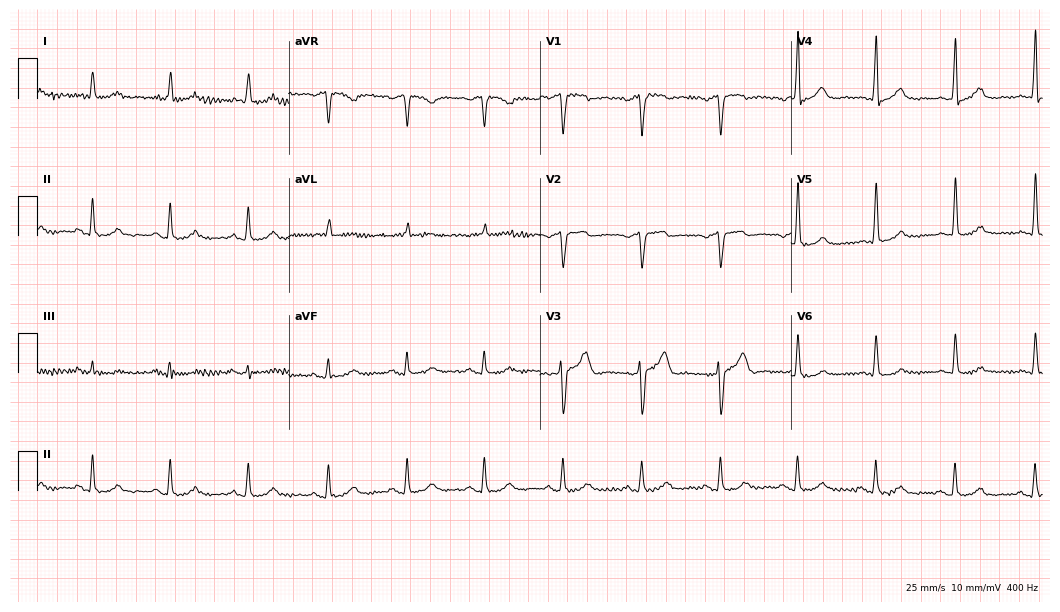
Electrocardiogram (10.2-second recording at 400 Hz), a 72-year-old male patient. Overall reading on record: normal ECG.